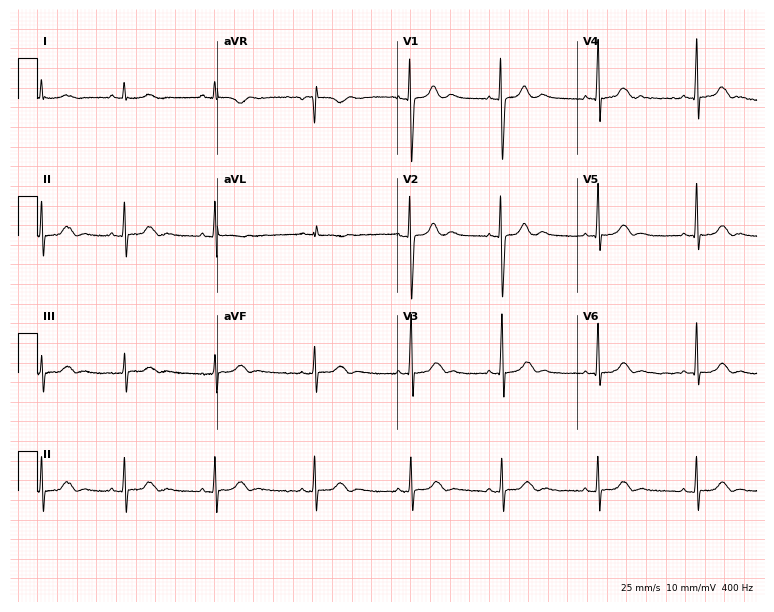
Resting 12-lead electrocardiogram (7.3-second recording at 400 Hz). Patient: a 17-year-old woman. None of these six findings is recorded: first-degree AV block, right bundle branch block, left bundle branch block, sinus bradycardia, atrial fibrillation, sinus tachycardia.